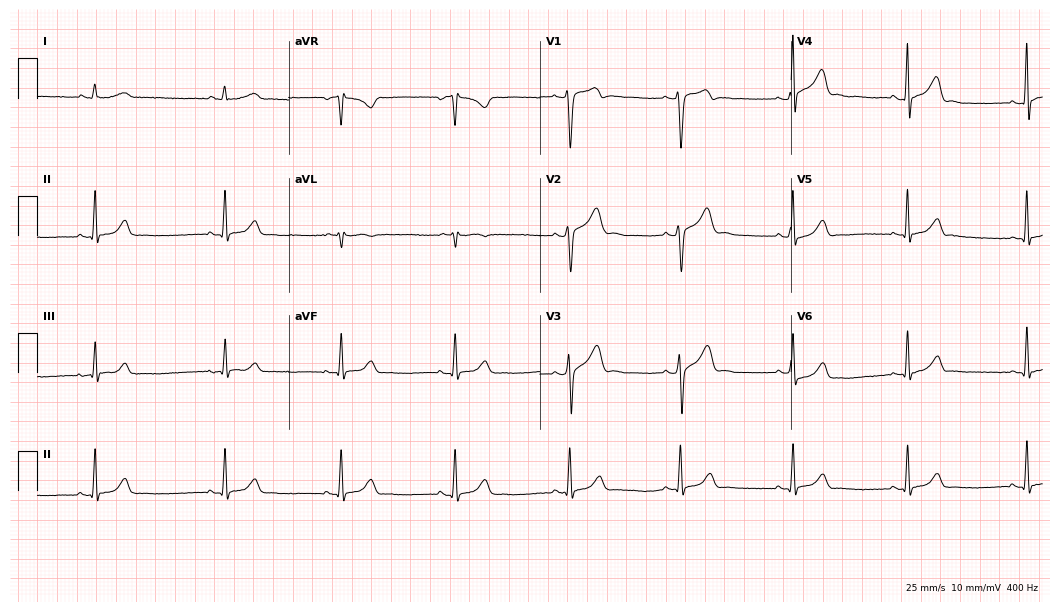
Resting 12-lead electrocardiogram (10.2-second recording at 400 Hz). Patient: a man, 24 years old. The tracing shows sinus bradycardia (a sinus rate of 50 beats per minute or less).